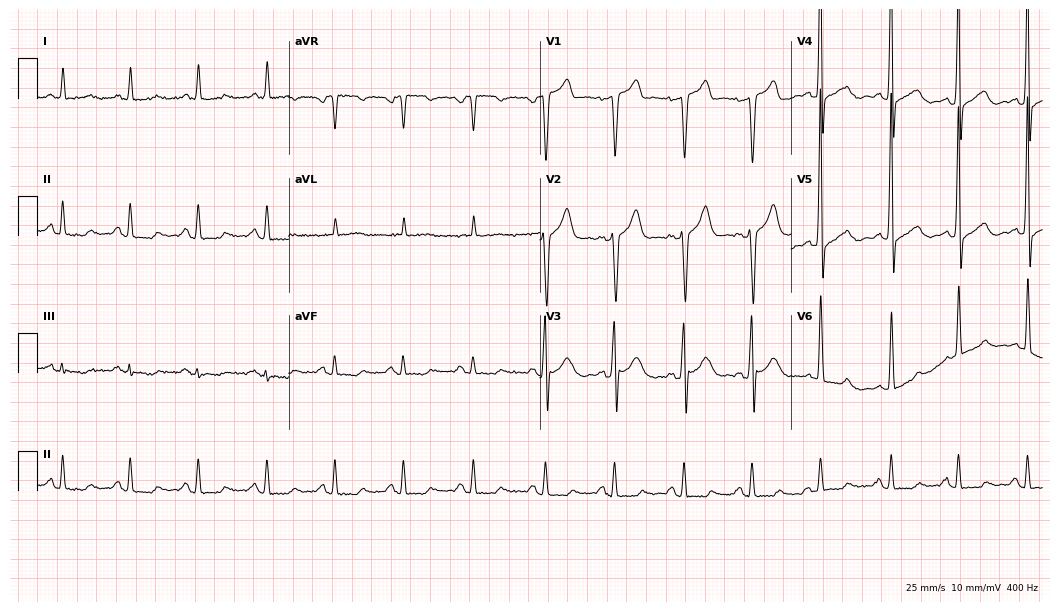
Resting 12-lead electrocardiogram. Patient: a man, 71 years old. None of these six findings is recorded: first-degree AV block, right bundle branch block (RBBB), left bundle branch block (LBBB), sinus bradycardia, atrial fibrillation (AF), sinus tachycardia. Findings outside these six are not listed.